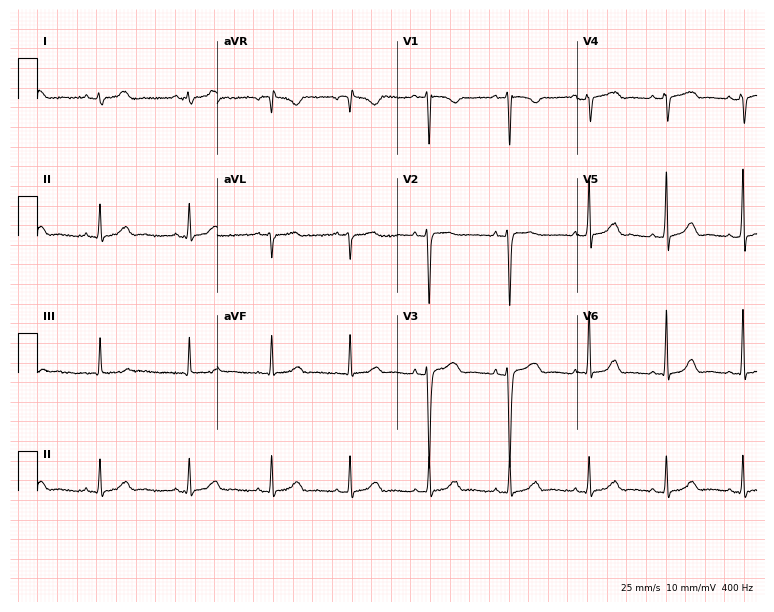
12-lead ECG (7.3-second recording at 400 Hz) from a female patient, 19 years old. Screened for six findings — first-degree AV block, right bundle branch block, left bundle branch block, sinus bradycardia, atrial fibrillation, sinus tachycardia — none is recorded. Only these six findings were labelled.